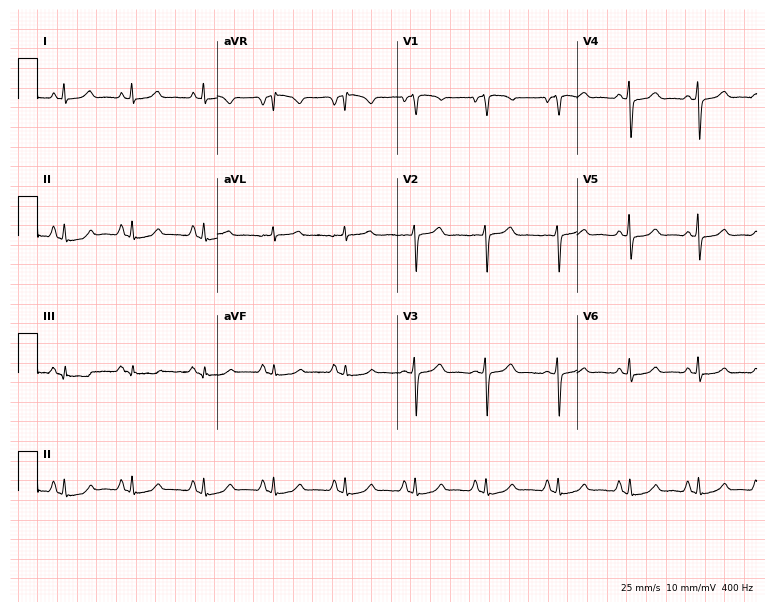
Standard 12-lead ECG recorded from a woman, 63 years old. None of these six findings is recorded: first-degree AV block, right bundle branch block, left bundle branch block, sinus bradycardia, atrial fibrillation, sinus tachycardia.